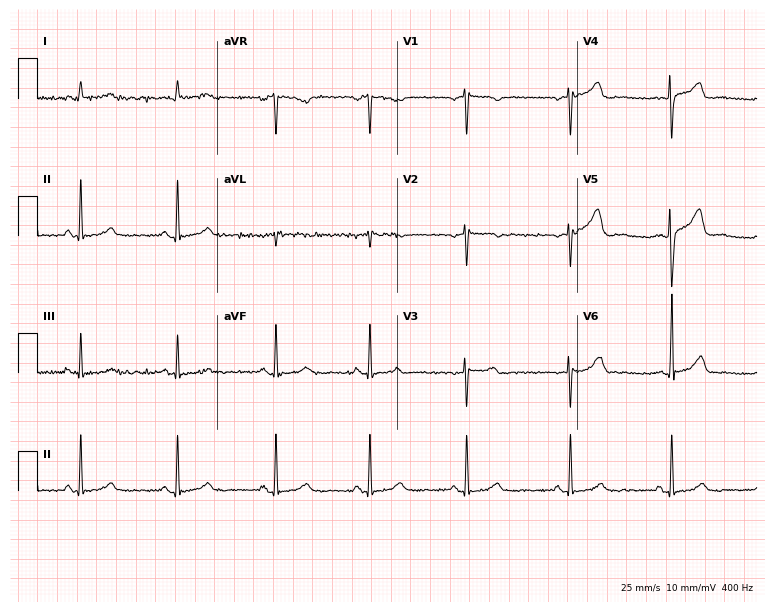
12-lead ECG from a 38-year-old female. Screened for six findings — first-degree AV block, right bundle branch block, left bundle branch block, sinus bradycardia, atrial fibrillation, sinus tachycardia — none is recorded.